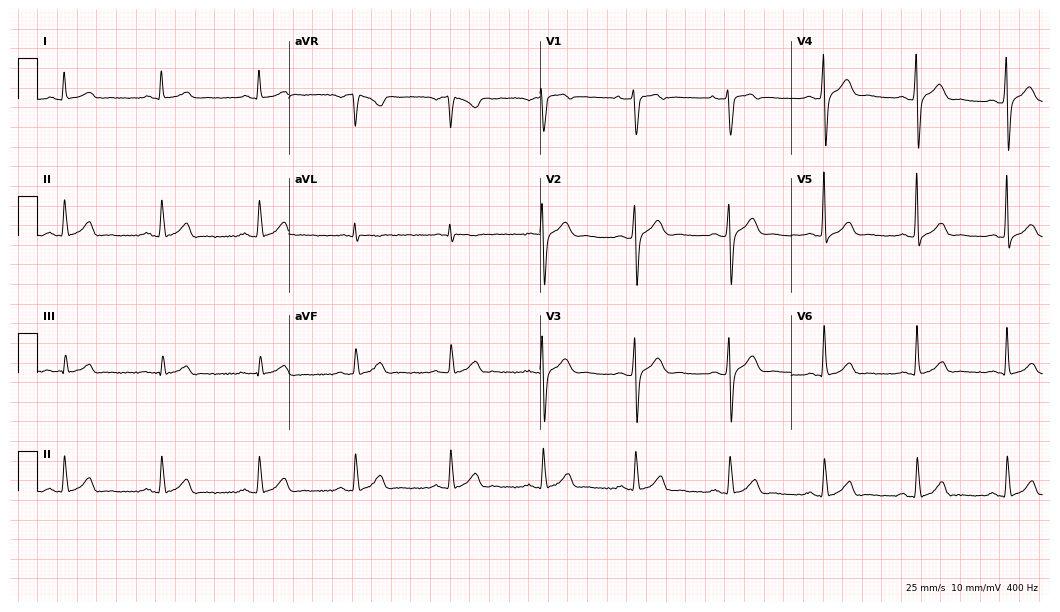
12-lead ECG from a man, 40 years old. Labelled as a normal ECG.